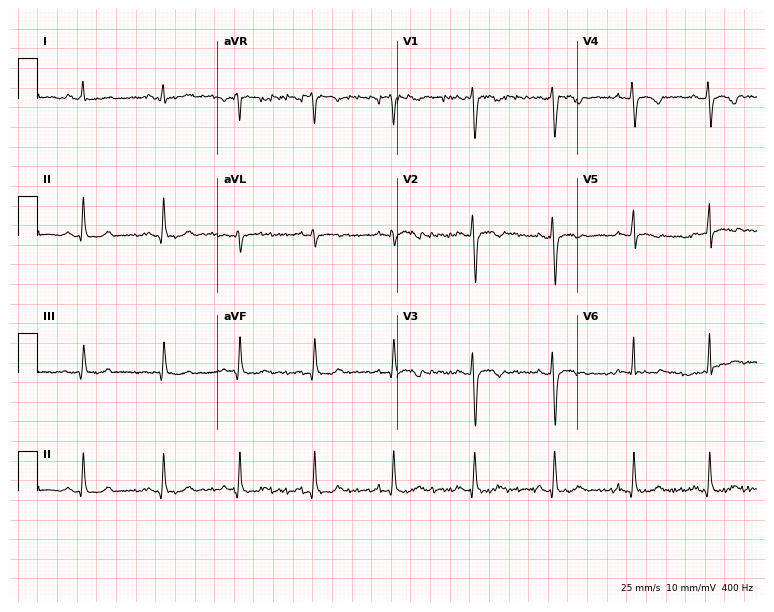
ECG (7.3-second recording at 400 Hz) — a 22-year-old female patient. Screened for six findings — first-degree AV block, right bundle branch block, left bundle branch block, sinus bradycardia, atrial fibrillation, sinus tachycardia — none is recorded. Only these six findings were labelled.